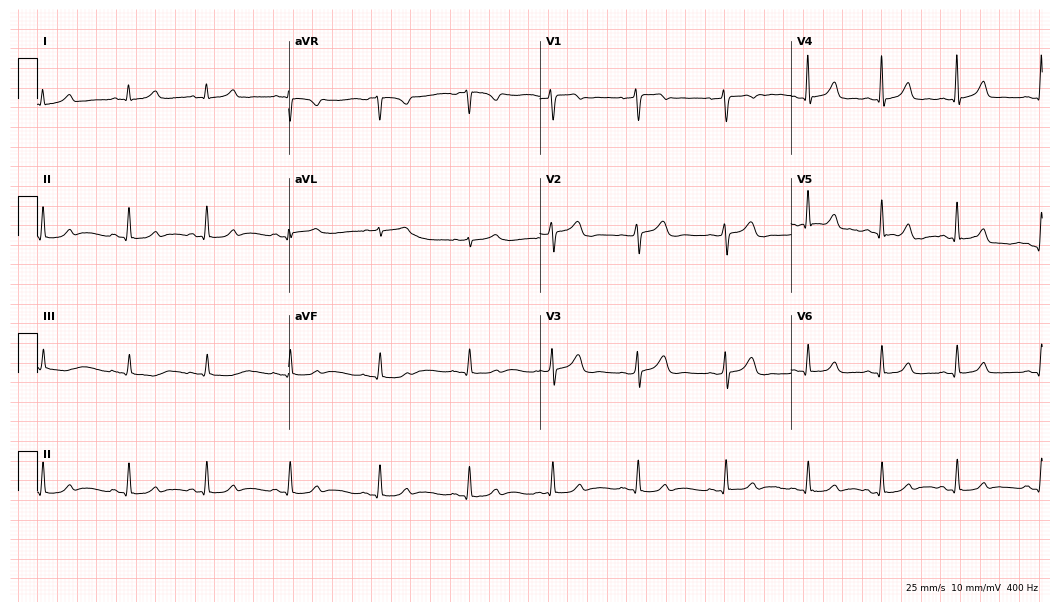
ECG (10.2-second recording at 400 Hz) — a female patient, 33 years old. Labelled as a normal ECG.